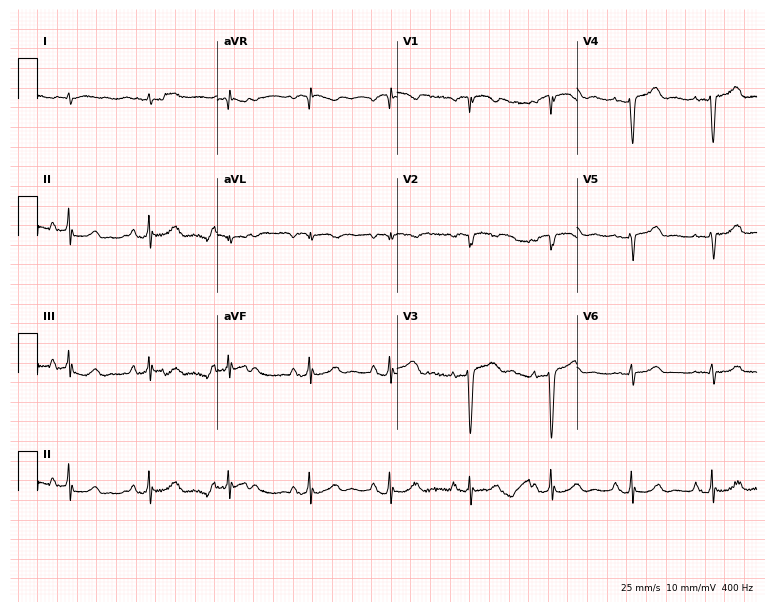
12-lead ECG from an 85-year-old man. Screened for six findings — first-degree AV block, right bundle branch block, left bundle branch block, sinus bradycardia, atrial fibrillation, sinus tachycardia — none is recorded. Other findings, if any, are not listed.